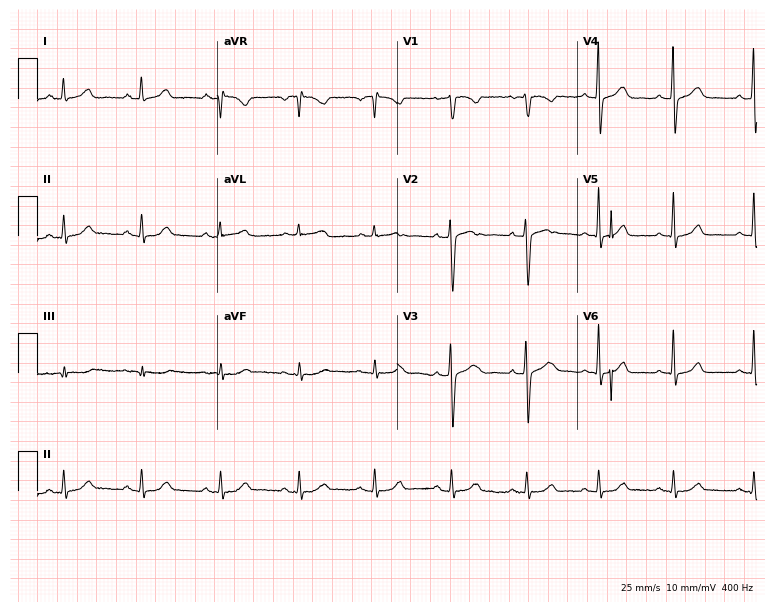
12-lead ECG from a 34-year-old female patient. Recorded interpretation: within normal limits.